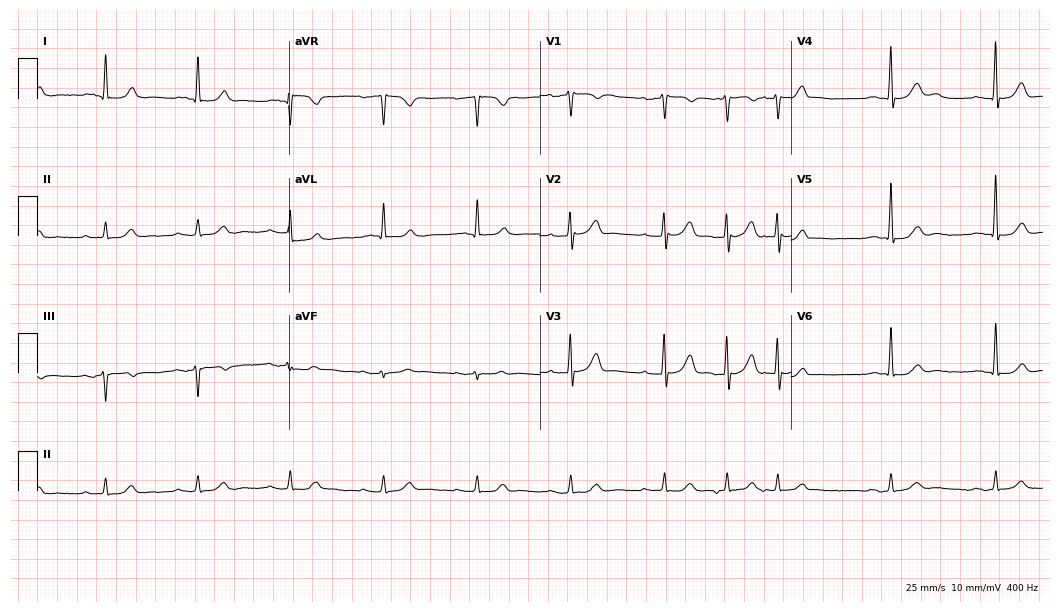
Standard 12-lead ECG recorded from a man, 83 years old (10.2-second recording at 400 Hz). None of these six findings is recorded: first-degree AV block, right bundle branch block (RBBB), left bundle branch block (LBBB), sinus bradycardia, atrial fibrillation (AF), sinus tachycardia. Other findings, if any, are not listed.